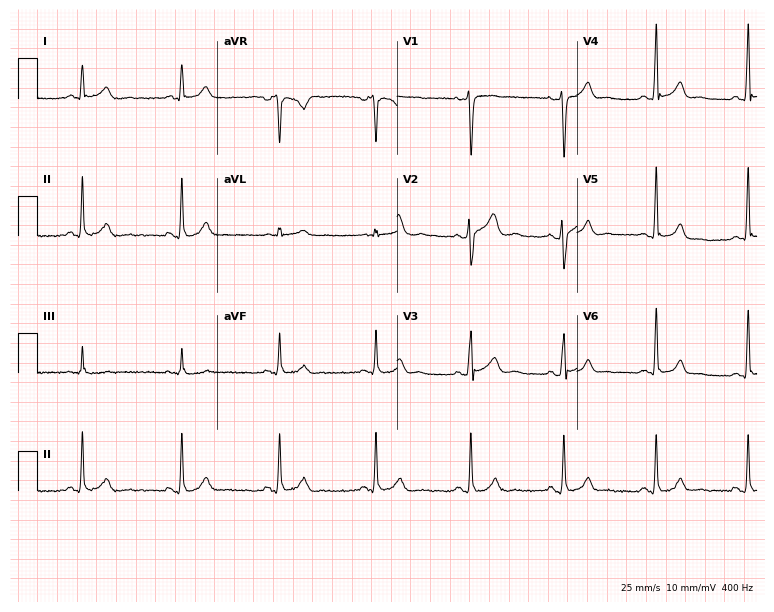
ECG — a male, 50 years old. Labelled as a normal ECG.